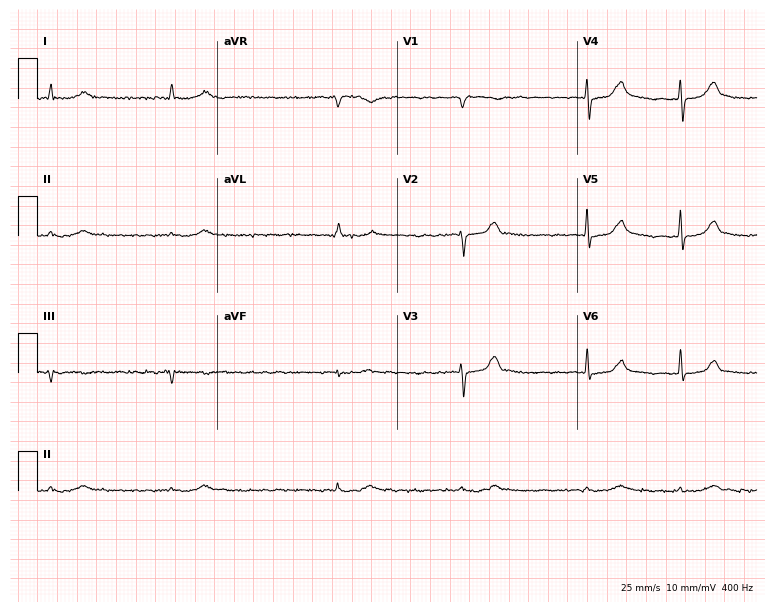
ECG — an 85-year-old man. Screened for six findings — first-degree AV block, right bundle branch block, left bundle branch block, sinus bradycardia, atrial fibrillation, sinus tachycardia — none is recorded. Only these six findings were labelled.